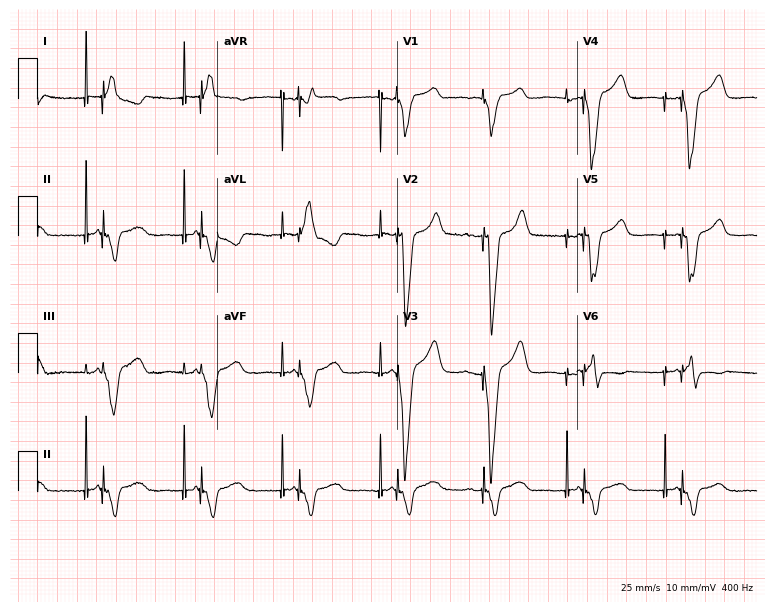
Electrocardiogram, a woman, 81 years old. Of the six screened findings (first-degree AV block, right bundle branch block (RBBB), left bundle branch block (LBBB), sinus bradycardia, atrial fibrillation (AF), sinus tachycardia), none is recorded. Only these six findings were labelled.